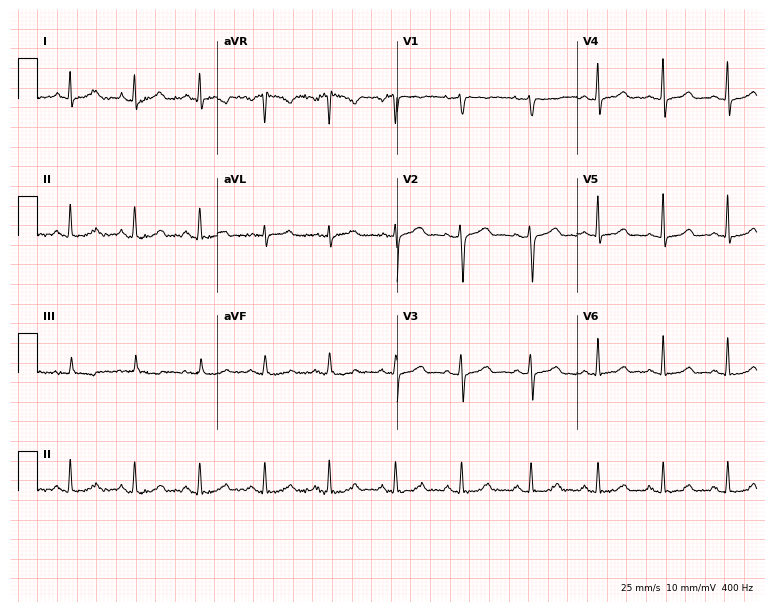
ECG — a 37-year-old female patient. Screened for six findings — first-degree AV block, right bundle branch block, left bundle branch block, sinus bradycardia, atrial fibrillation, sinus tachycardia — none is recorded.